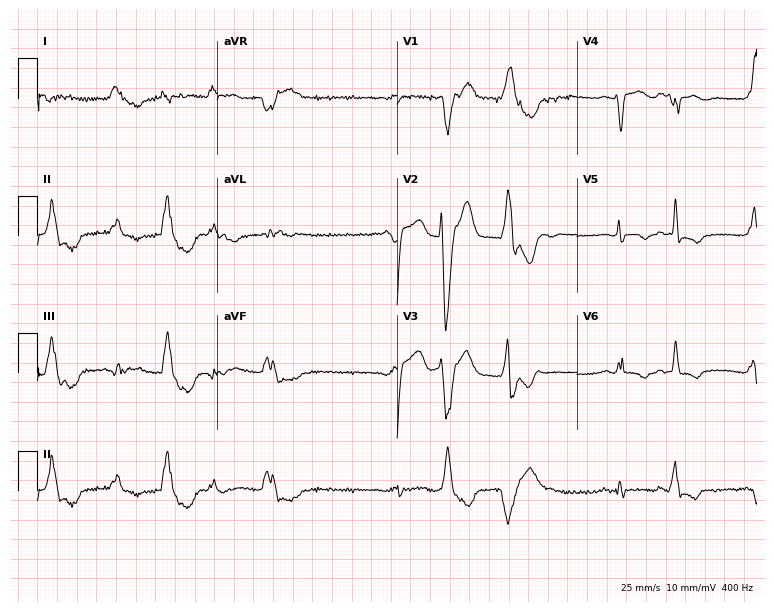
12-lead ECG (7.3-second recording at 400 Hz) from a man, 60 years old. Screened for six findings — first-degree AV block, right bundle branch block, left bundle branch block, sinus bradycardia, atrial fibrillation, sinus tachycardia — none is recorded.